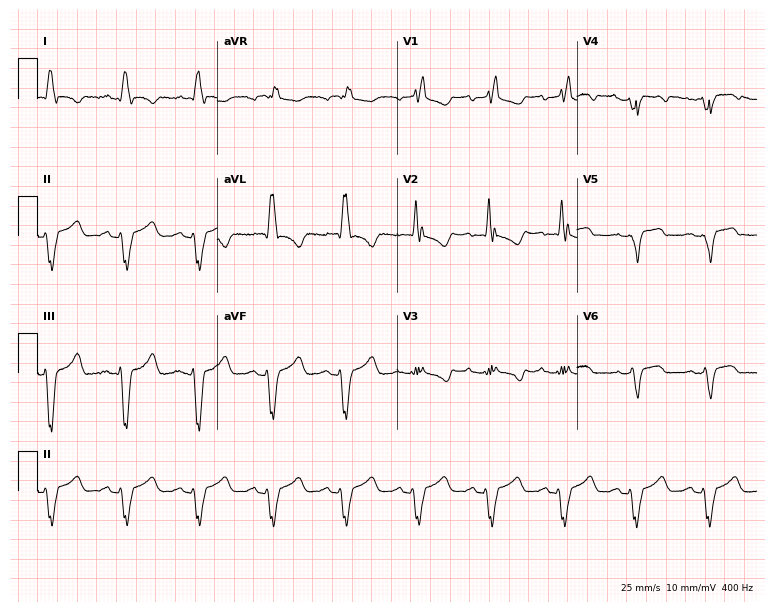
Resting 12-lead electrocardiogram (7.3-second recording at 400 Hz). Patient: a 45-year-old man. The tracing shows right bundle branch block.